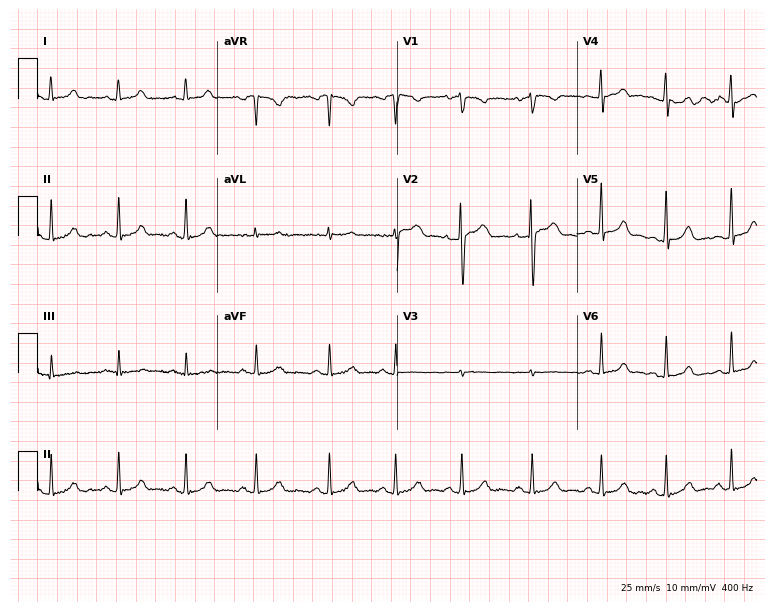
Standard 12-lead ECG recorded from a 25-year-old woman (7.3-second recording at 400 Hz). Read as a normal ECG.